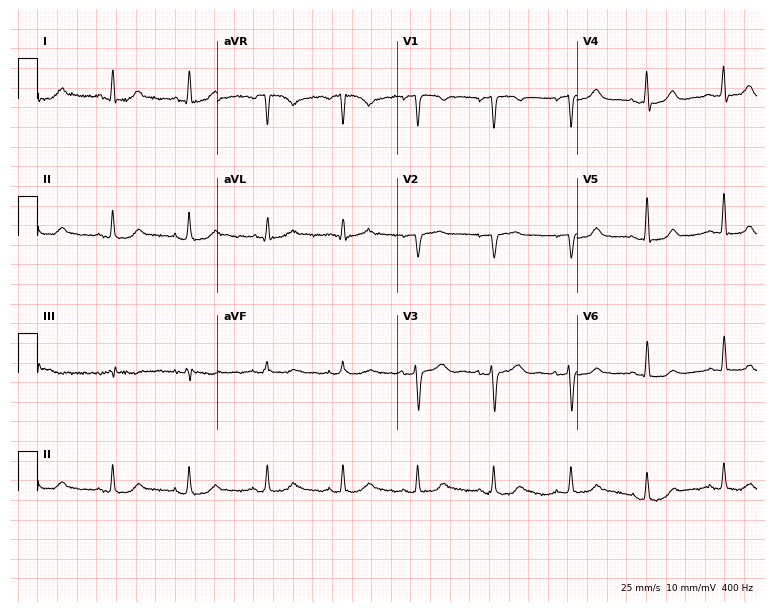
Resting 12-lead electrocardiogram. Patient: a woman, 74 years old. Read as a normal ECG.